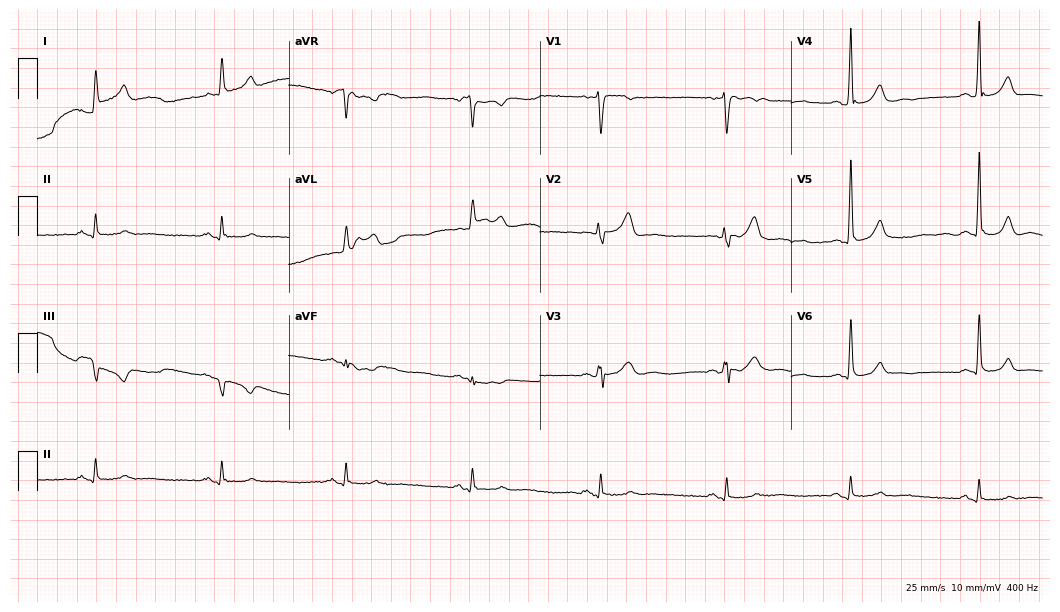
Resting 12-lead electrocardiogram. Patient: a man, 57 years old. None of these six findings is recorded: first-degree AV block, right bundle branch block, left bundle branch block, sinus bradycardia, atrial fibrillation, sinus tachycardia. Findings outside these six are not listed.